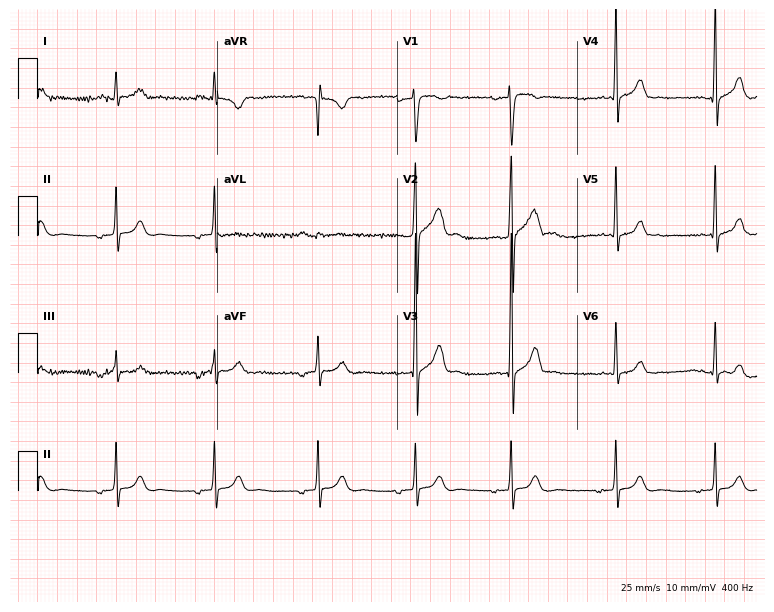
ECG — a male patient, 21 years old. Screened for six findings — first-degree AV block, right bundle branch block (RBBB), left bundle branch block (LBBB), sinus bradycardia, atrial fibrillation (AF), sinus tachycardia — none is recorded. Findings outside these six are not listed.